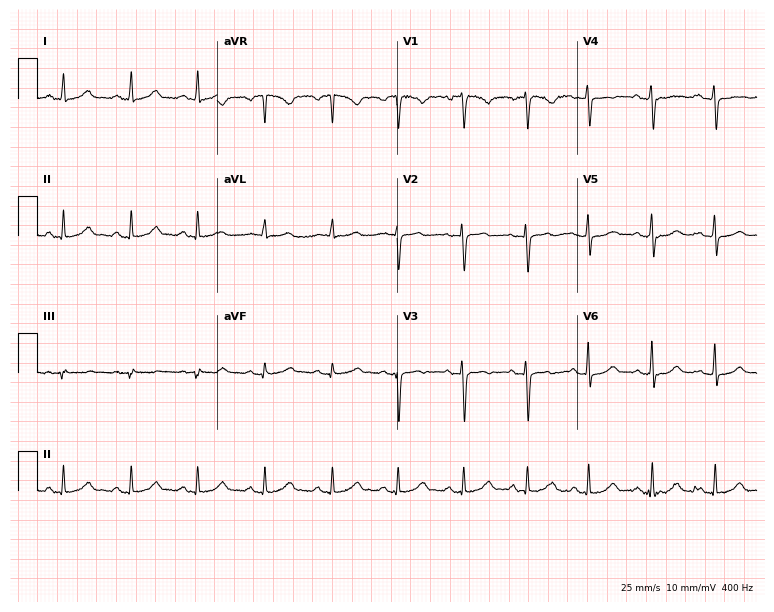
Resting 12-lead electrocardiogram. Patient: a female, 39 years old. Read as a normal ECG.